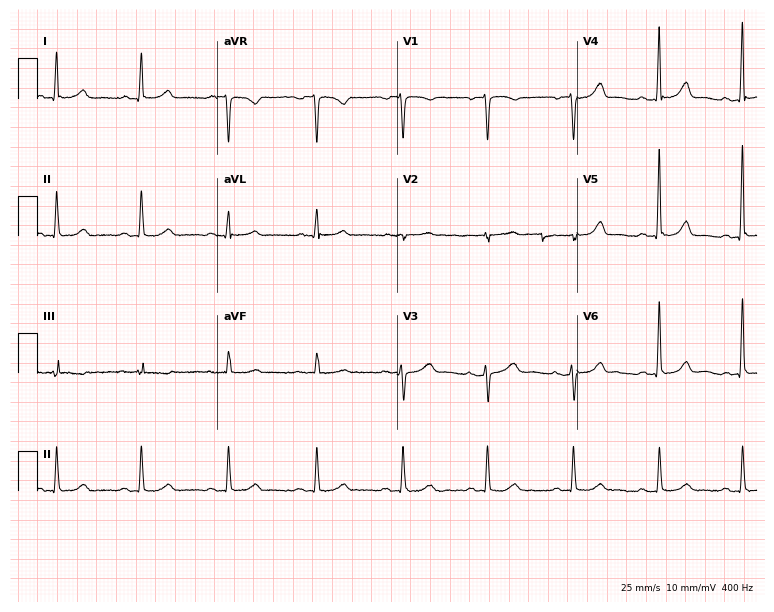
ECG (7.3-second recording at 400 Hz) — a 59-year-old female patient. Labelled as a normal ECG.